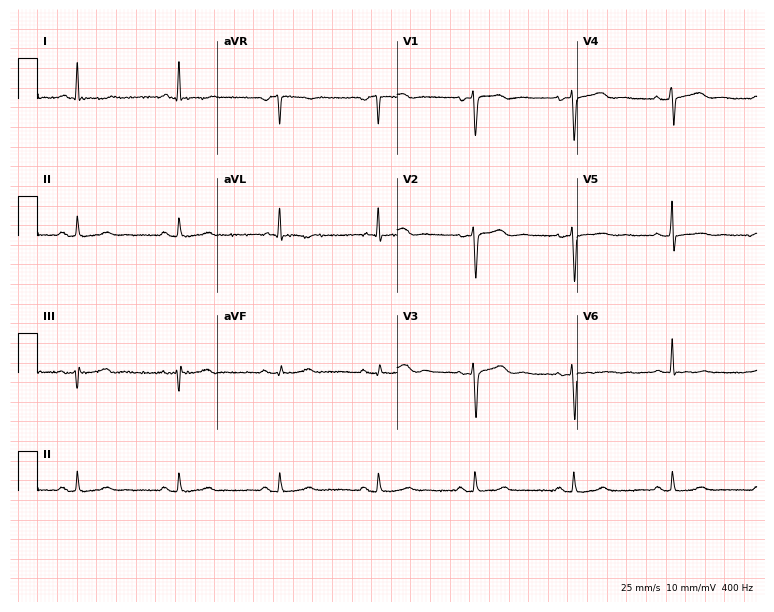
Standard 12-lead ECG recorded from a 61-year-old female patient (7.3-second recording at 400 Hz). Read as a normal ECG.